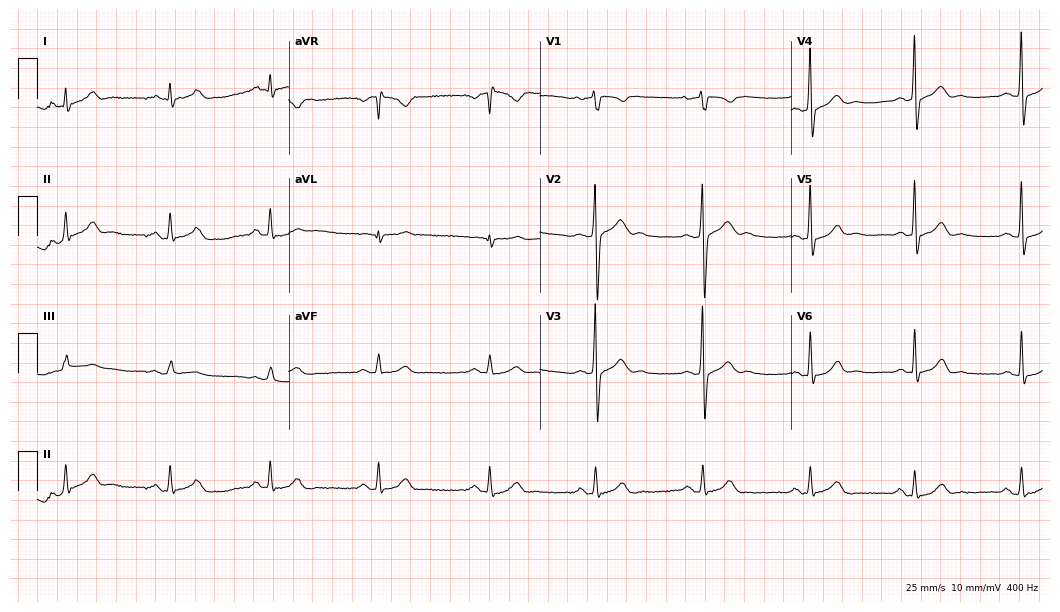
12-lead ECG from a 26-year-old male patient (10.2-second recording at 400 Hz). No first-degree AV block, right bundle branch block (RBBB), left bundle branch block (LBBB), sinus bradycardia, atrial fibrillation (AF) or sinus tachycardia recorded for this tracing.